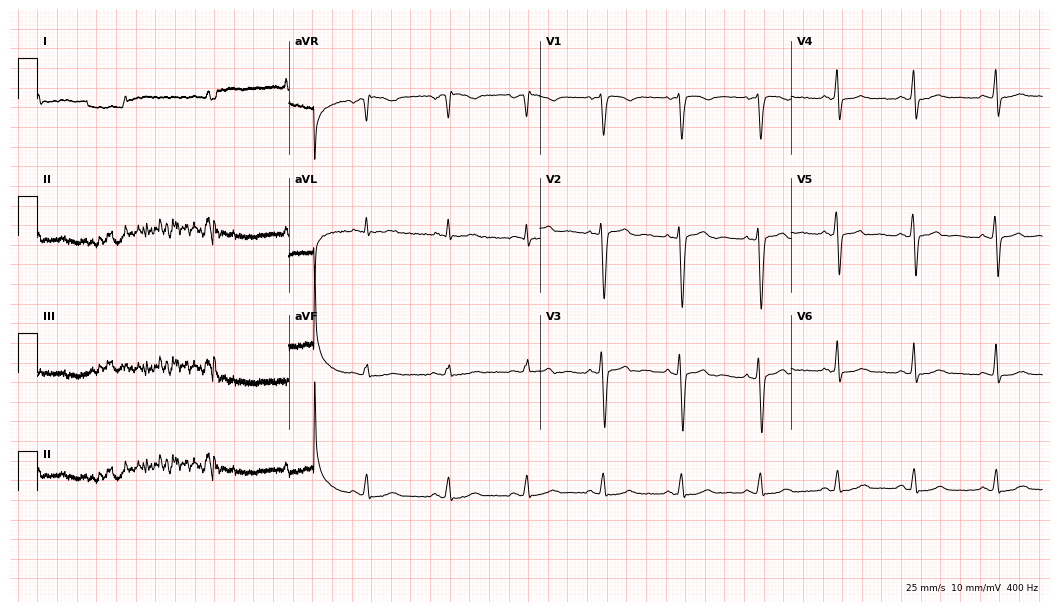
12-lead ECG from a 33-year-old male. Recorded interpretation: within normal limits.